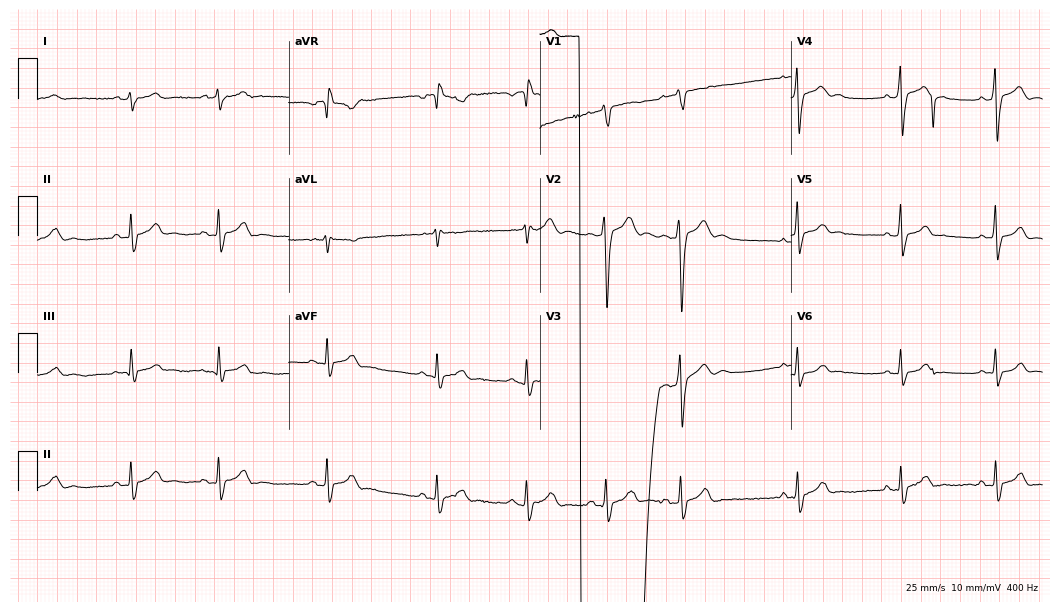
ECG — a 22-year-old man. Screened for six findings — first-degree AV block, right bundle branch block, left bundle branch block, sinus bradycardia, atrial fibrillation, sinus tachycardia — none is recorded. Other findings, if any, are not listed.